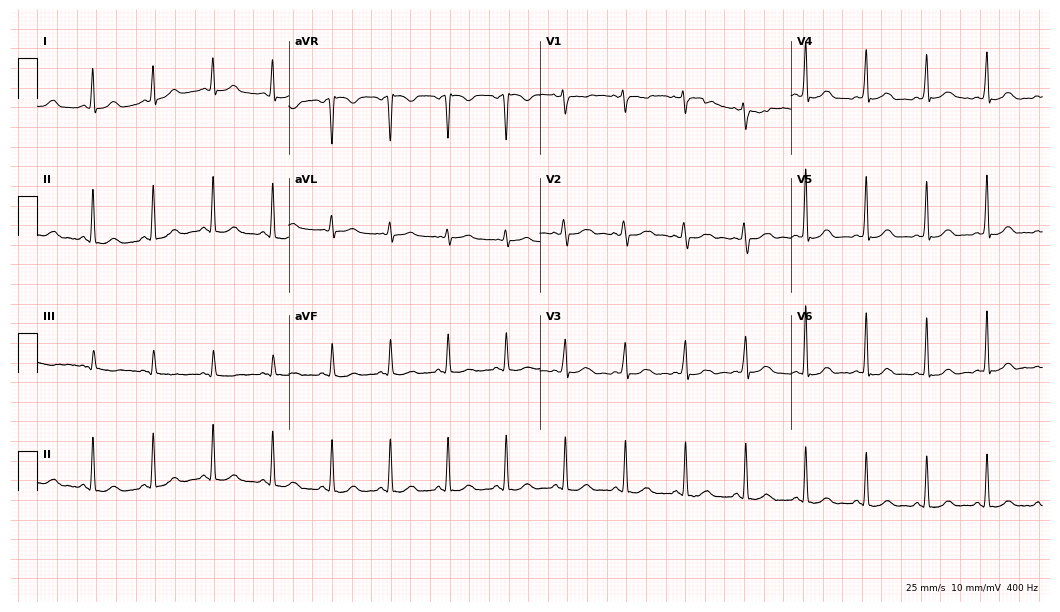
Electrocardiogram, a 35-year-old woman. Overall reading on record: normal ECG.